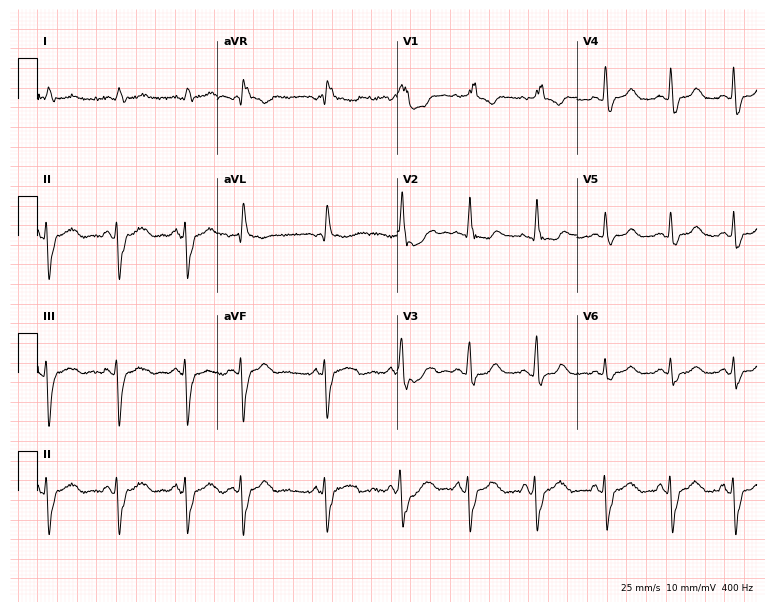
12-lead ECG from a 77-year-old woman (7.3-second recording at 400 Hz). Shows right bundle branch block (RBBB).